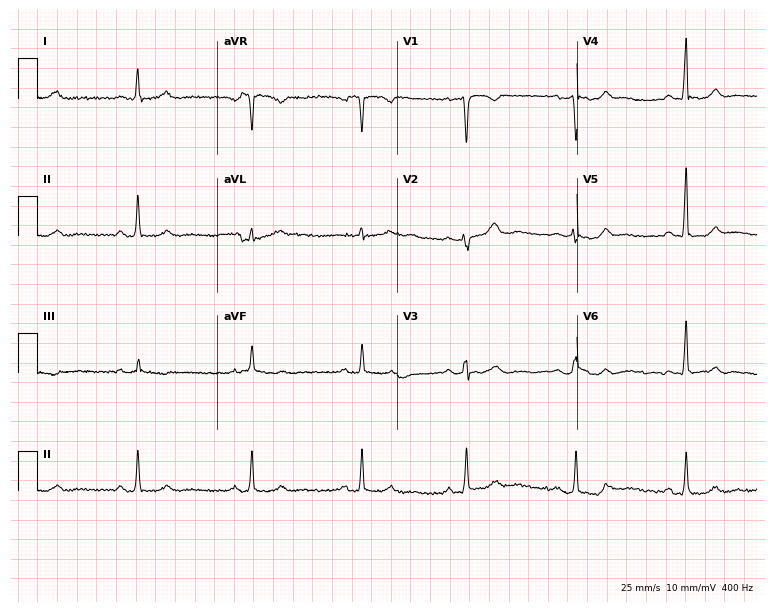
Electrocardiogram, a female, 63 years old. Of the six screened findings (first-degree AV block, right bundle branch block, left bundle branch block, sinus bradycardia, atrial fibrillation, sinus tachycardia), none is recorded. Other findings, if any, are not listed.